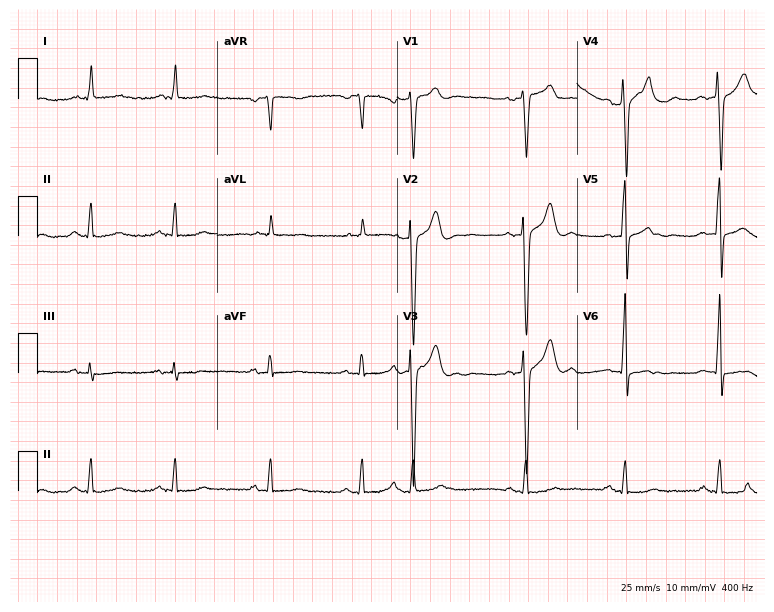
12-lead ECG from a 49-year-old male patient (7.3-second recording at 400 Hz). No first-degree AV block, right bundle branch block (RBBB), left bundle branch block (LBBB), sinus bradycardia, atrial fibrillation (AF) or sinus tachycardia recorded for this tracing.